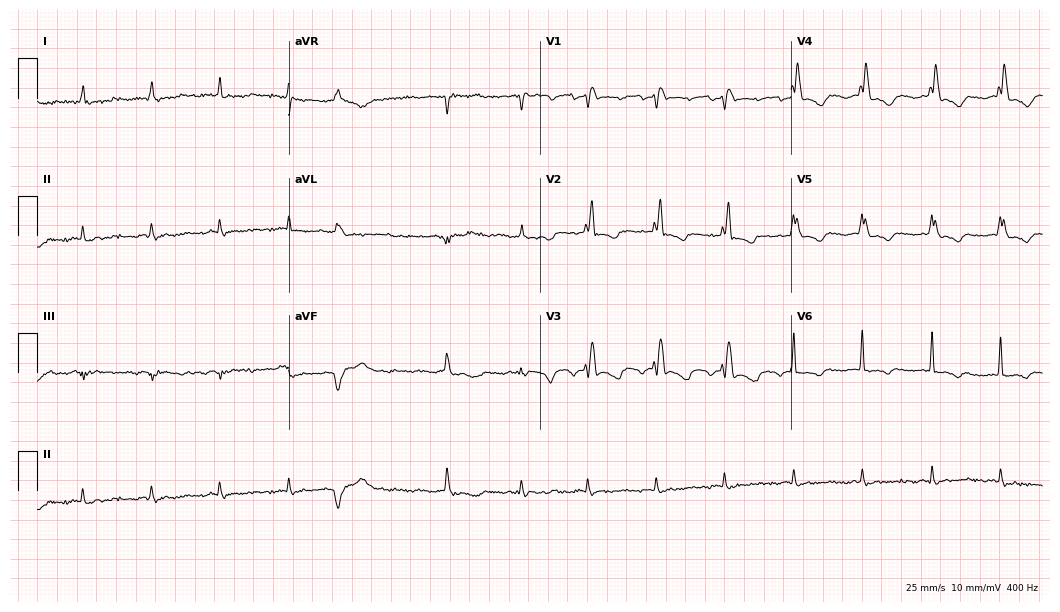
12-lead ECG (10.2-second recording at 400 Hz) from a female patient, 79 years old. Screened for six findings — first-degree AV block, right bundle branch block, left bundle branch block, sinus bradycardia, atrial fibrillation, sinus tachycardia — none is recorded. Other findings, if any, are not listed.